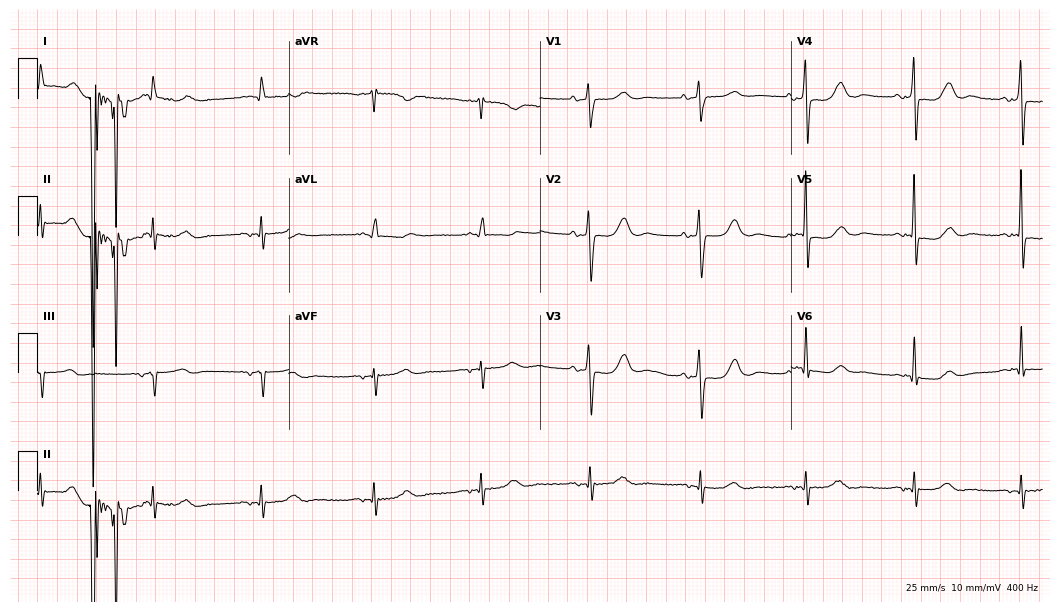
12-lead ECG from an 83-year-old female patient. Screened for six findings — first-degree AV block, right bundle branch block, left bundle branch block, sinus bradycardia, atrial fibrillation, sinus tachycardia — none is recorded.